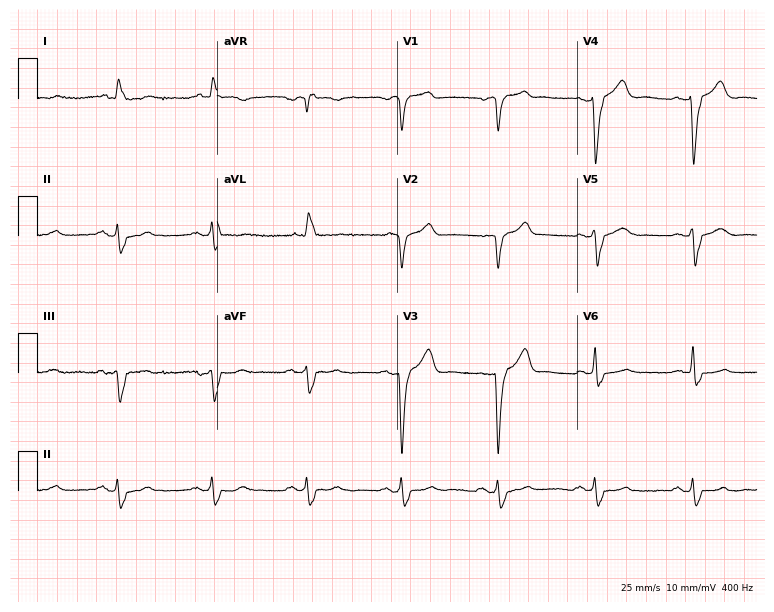
Standard 12-lead ECG recorded from a 75-year-old male patient. The tracing shows left bundle branch block.